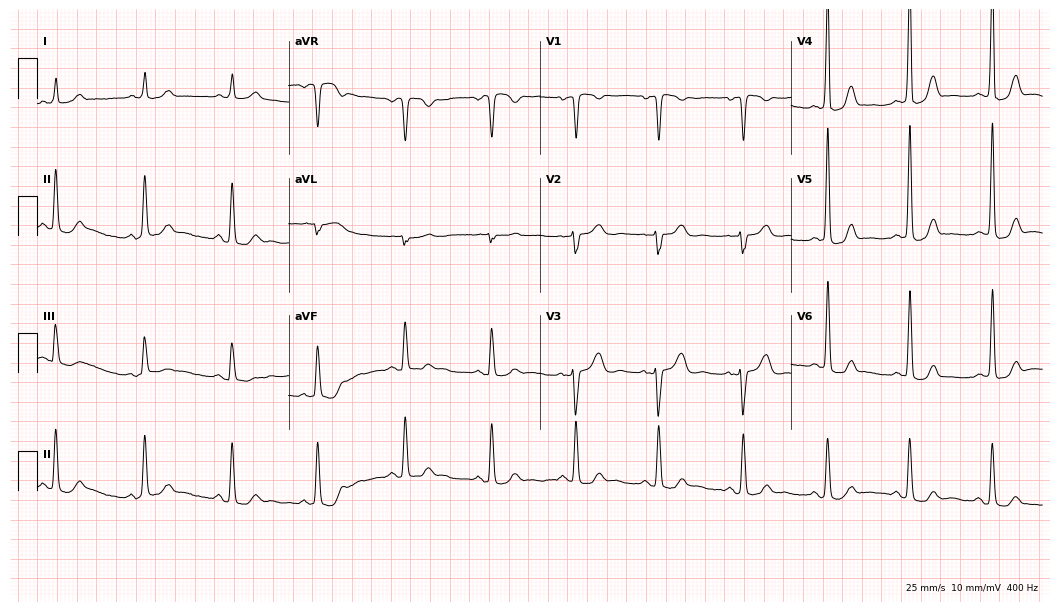
Standard 12-lead ECG recorded from a 75-year-old female. None of these six findings is recorded: first-degree AV block, right bundle branch block, left bundle branch block, sinus bradycardia, atrial fibrillation, sinus tachycardia.